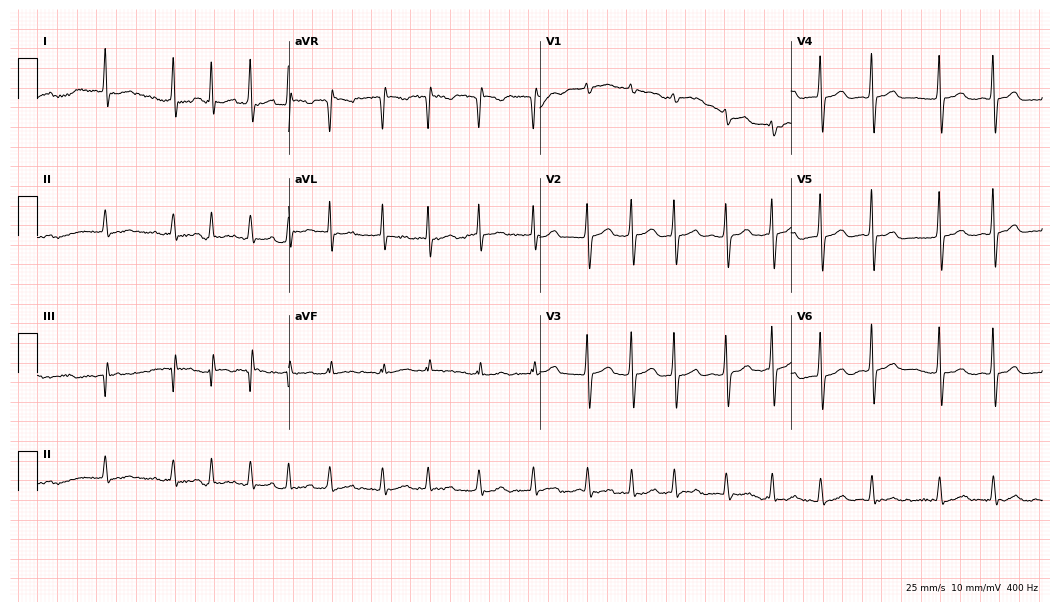
Standard 12-lead ECG recorded from a 68-year-old woman (10.2-second recording at 400 Hz). The tracing shows atrial fibrillation.